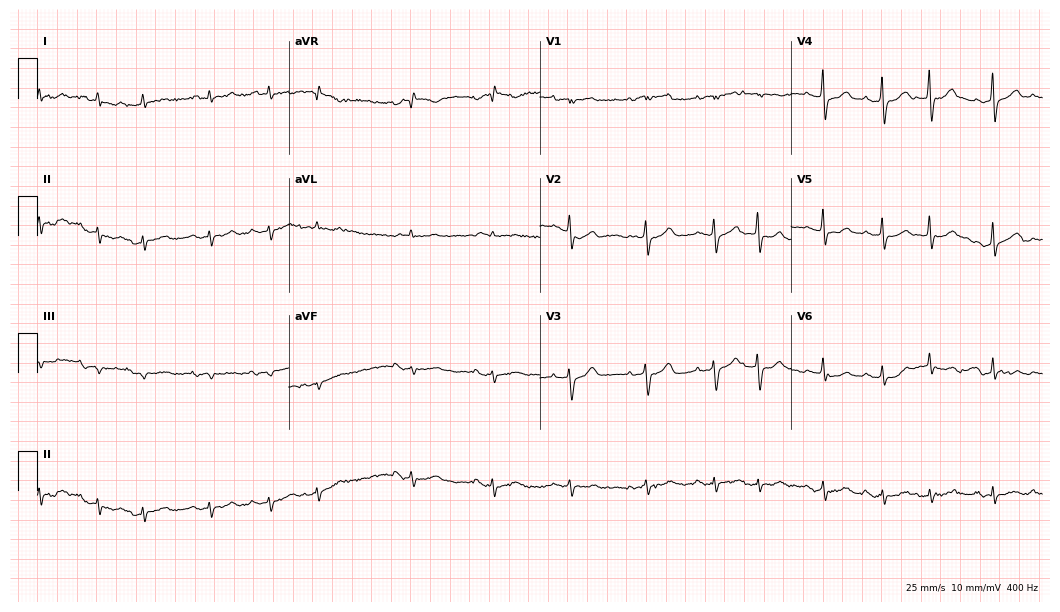
12-lead ECG from a male, 79 years old. Screened for six findings — first-degree AV block, right bundle branch block, left bundle branch block, sinus bradycardia, atrial fibrillation, sinus tachycardia — none is recorded. Findings outside these six are not listed.